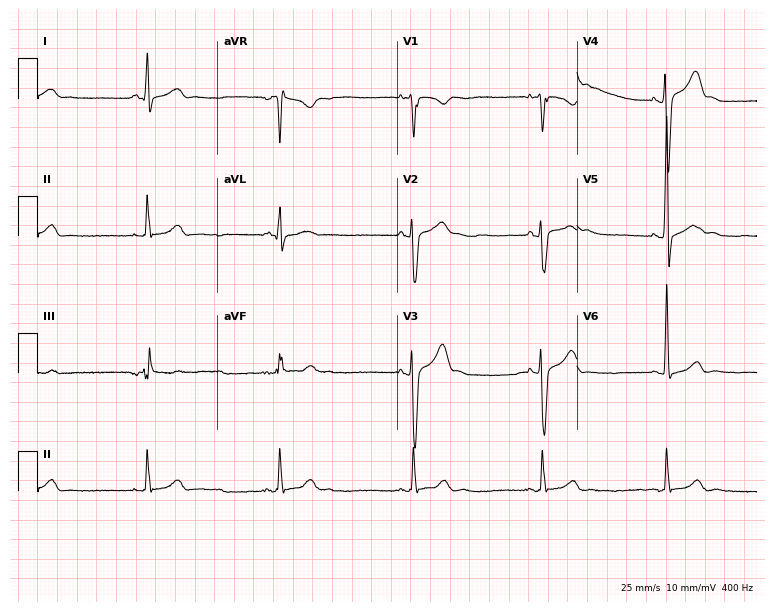
Standard 12-lead ECG recorded from a 21-year-old male. None of these six findings is recorded: first-degree AV block, right bundle branch block, left bundle branch block, sinus bradycardia, atrial fibrillation, sinus tachycardia.